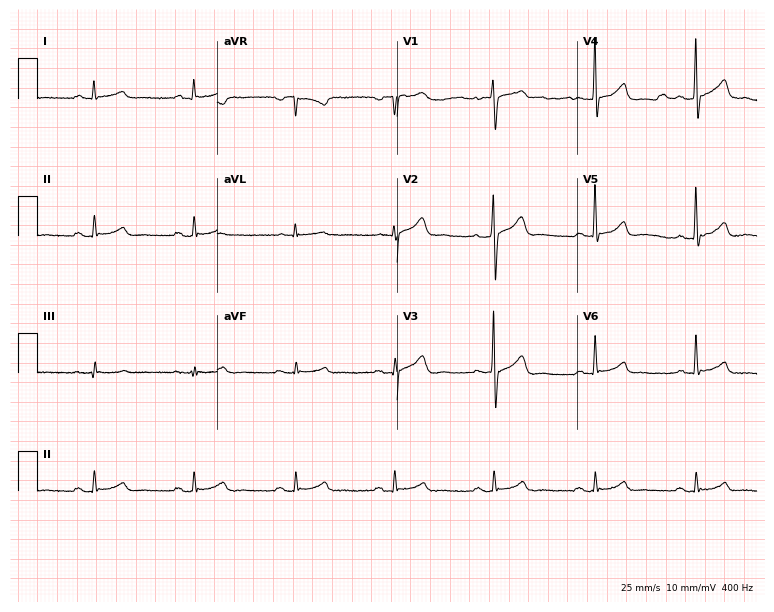
Electrocardiogram (7.3-second recording at 400 Hz), a man, 60 years old. Of the six screened findings (first-degree AV block, right bundle branch block, left bundle branch block, sinus bradycardia, atrial fibrillation, sinus tachycardia), none is recorded.